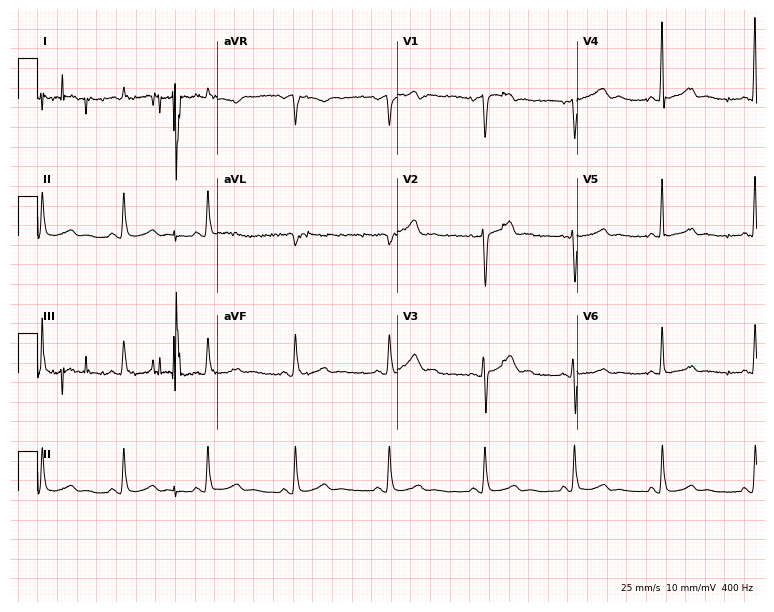
Standard 12-lead ECG recorded from a man, 52 years old (7.3-second recording at 400 Hz). Read as a normal ECG.